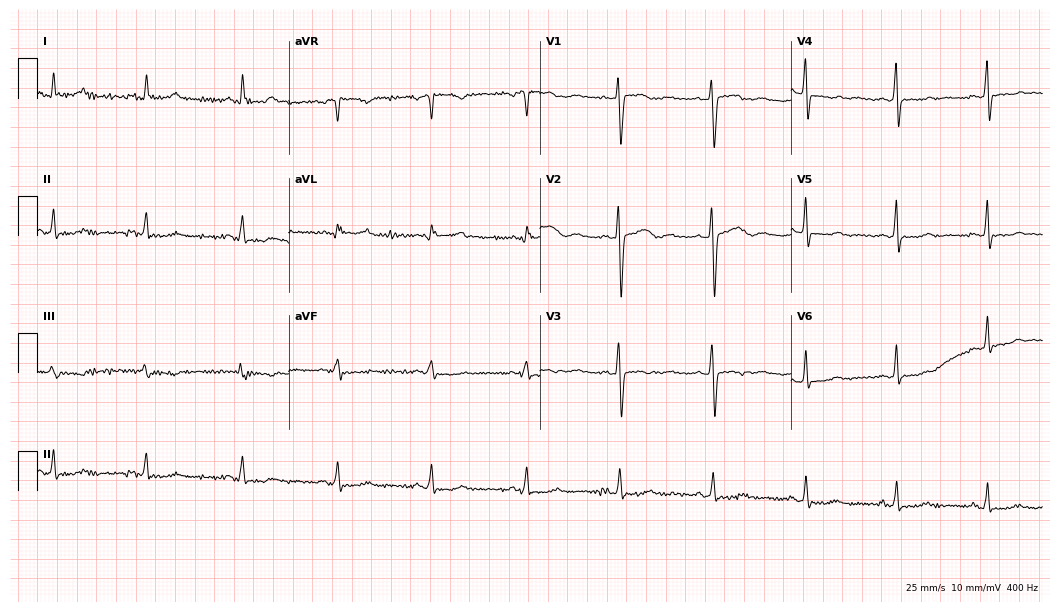
Standard 12-lead ECG recorded from a woman, 41 years old (10.2-second recording at 400 Hz). None of these six findings is recorded: first-degree AV block, right bundle branch block, left bundle branch block, sinus bradycardia, atrial fibrillation, sinus tachycardia.